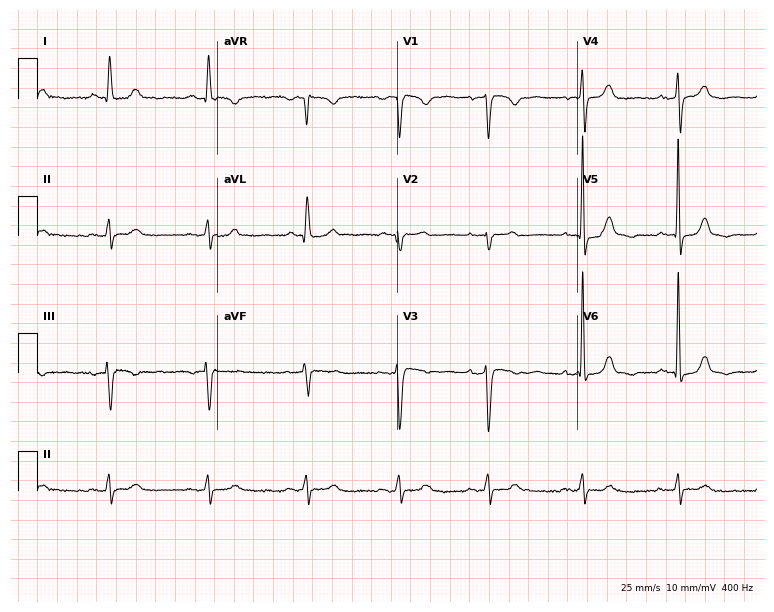
ECG — a female patient, 76 years old. Screened for six findings — first-degree AV block, right bundle branch block (RBBB), left bundle branch block (LBBB), sinus bradycardia, atrial fibrillation (AF), sinus tachycardia — none is recorded. Only these six findings were labelled.